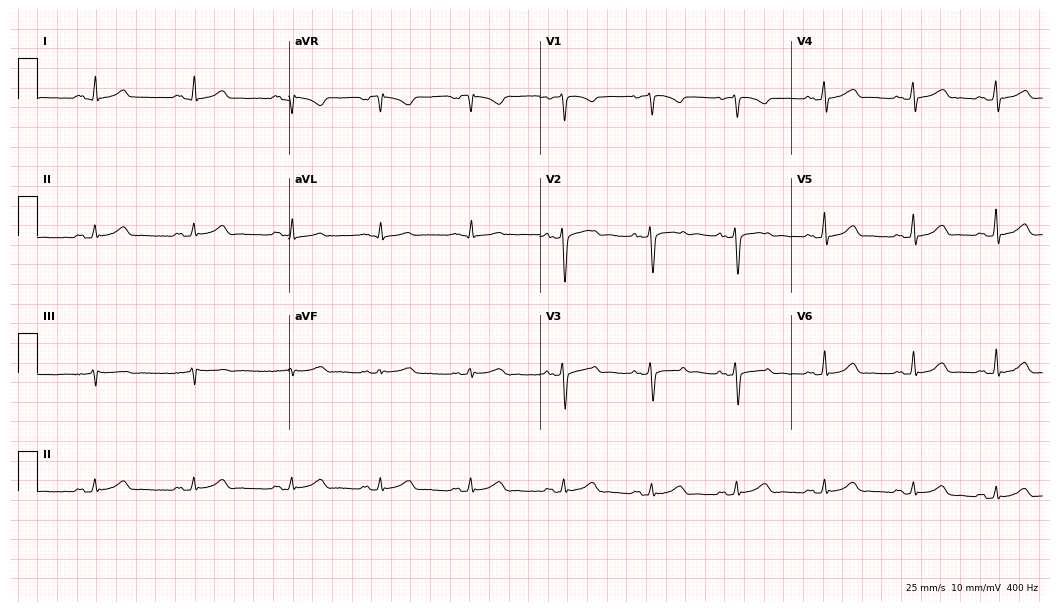
12-lead ECG (10.2-second recording at 400 Hz) from a female patient, 39 years old. Labelled as a normal ECG.